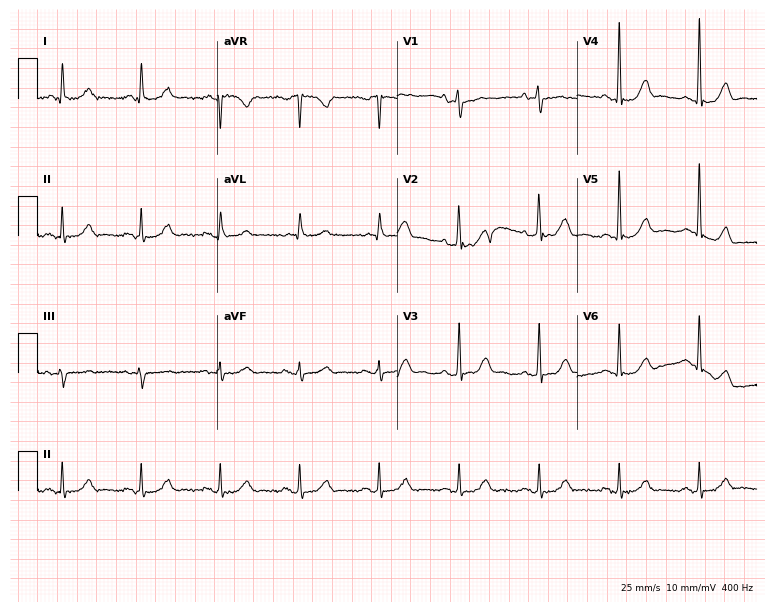
12-lead ECG (7.3-second recording at 400 Hz) from a man, 70 years old. Labelled as a normal ECG.